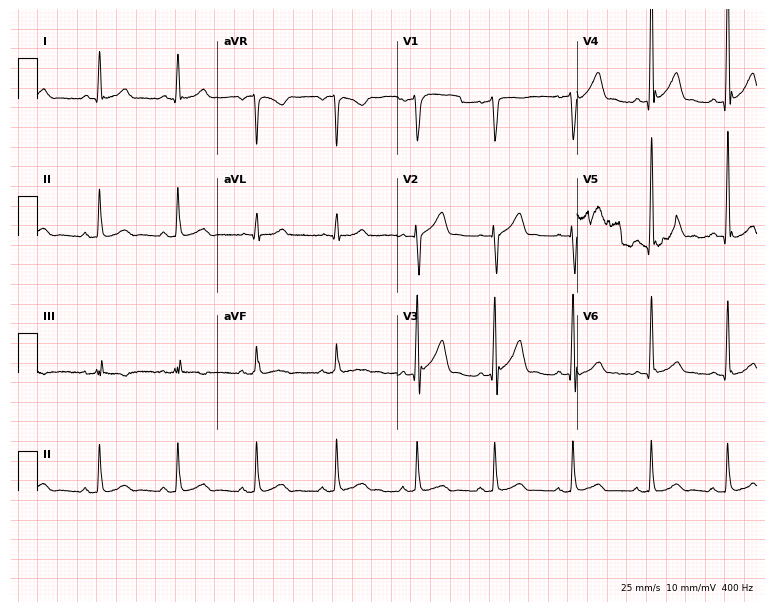
Resting 12-lead electrocardiogram. Patient: a 42-year-old male. Read as a normal ECG.